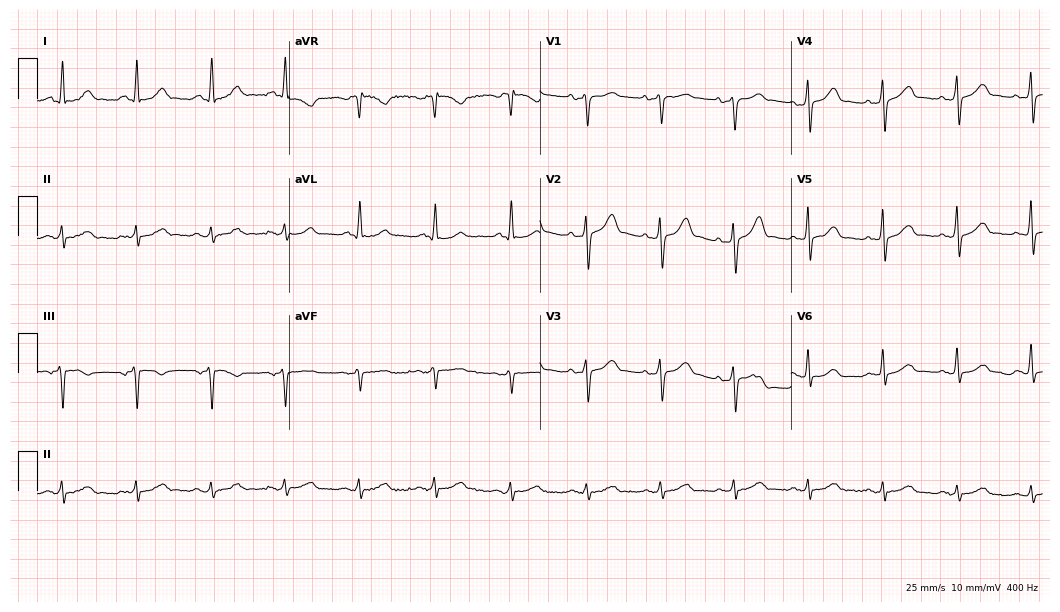
Electrocardiogram, a 68-year-old man. Of the six screened findings (first-degree AV block, right bundle branch block (RBBB), left bundle branch block (LBBB), sinus bradycardia, atrial fibrillation (AF), sinus tachycardia), none is recorded. Only these six findings were labelled.